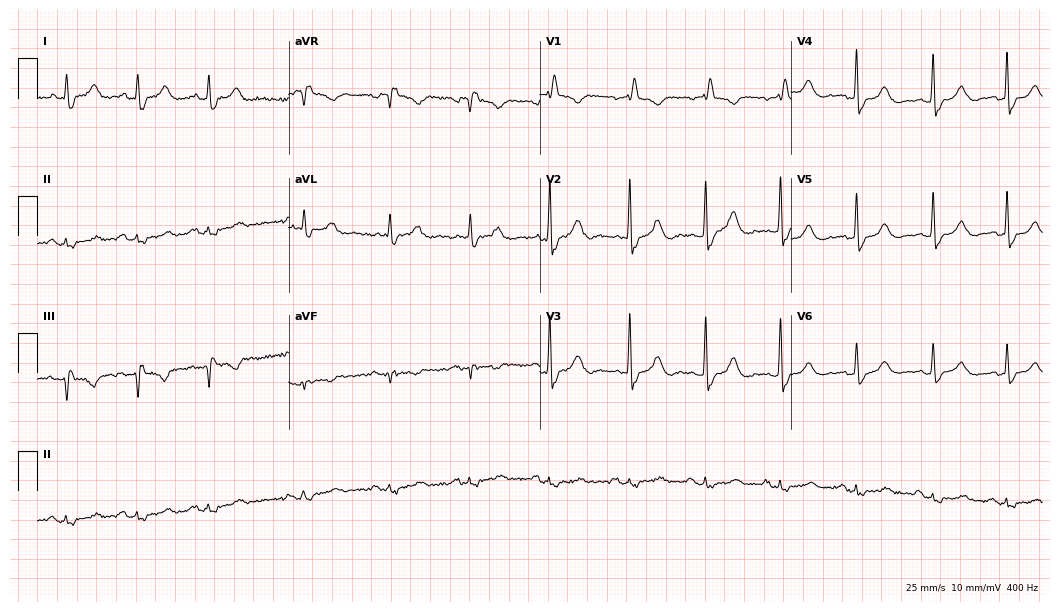
ECG (10.2-second recording at 400 Hz) — a female, 83 years old. Screened for six findings — first-degree AV block, right bundle branch block, left bundle branch block, sinus bradycardia, atrial fibrillation, sinus tachycardia — none is recorded.